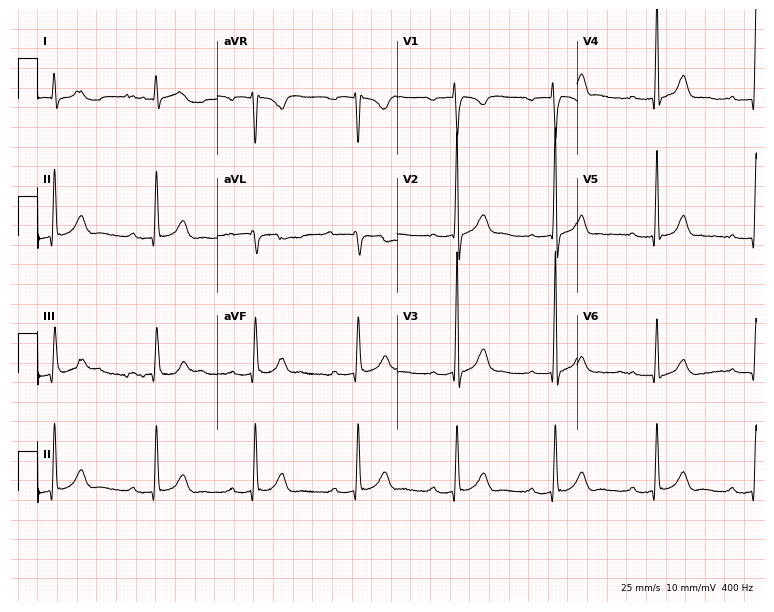
Electrocardiogram (7.3-second recording at 400 Hz), a 26-year-old male patient. Interpretation includes first-degree AV block.